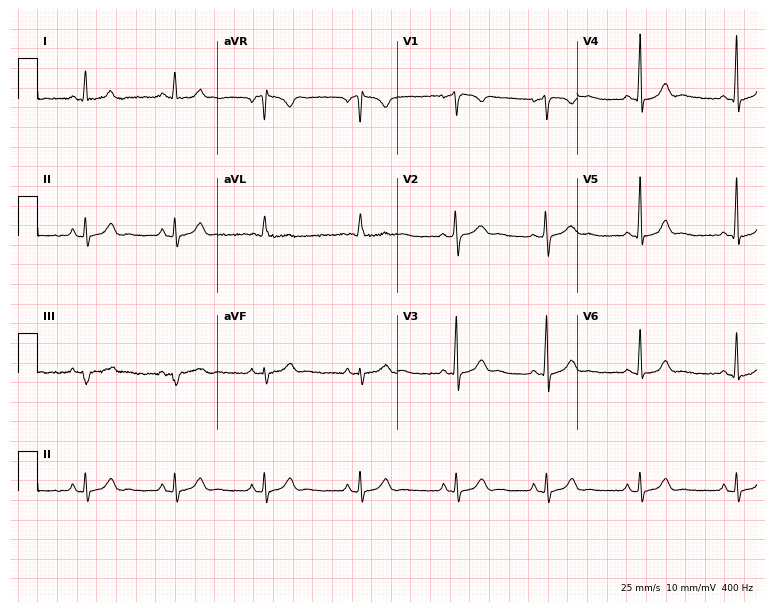
12-lead ECG from a 28-year-old female patient (7.3-second recording at 400 Hz). Recorded interpretation: within normal limits.